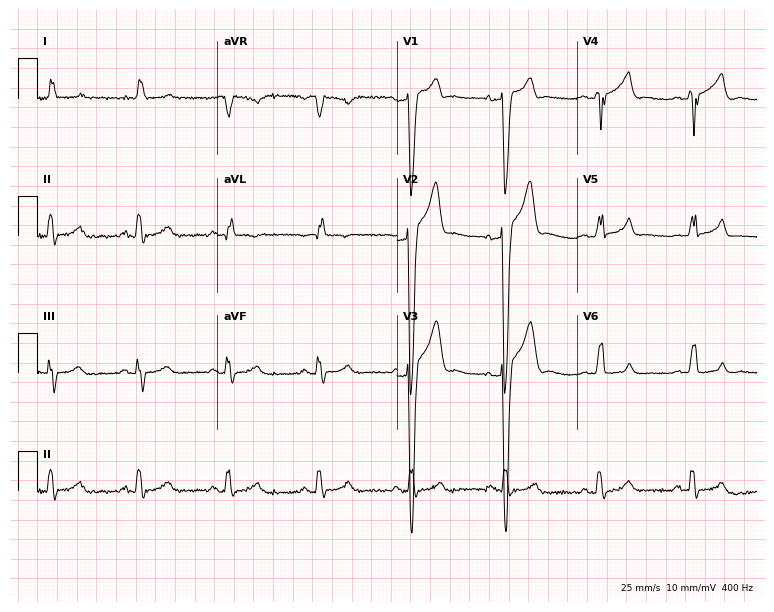
Standard 12-lead ECG recorded from a male, 69 years old. The tracing shows left bundle branch block (LBBB).